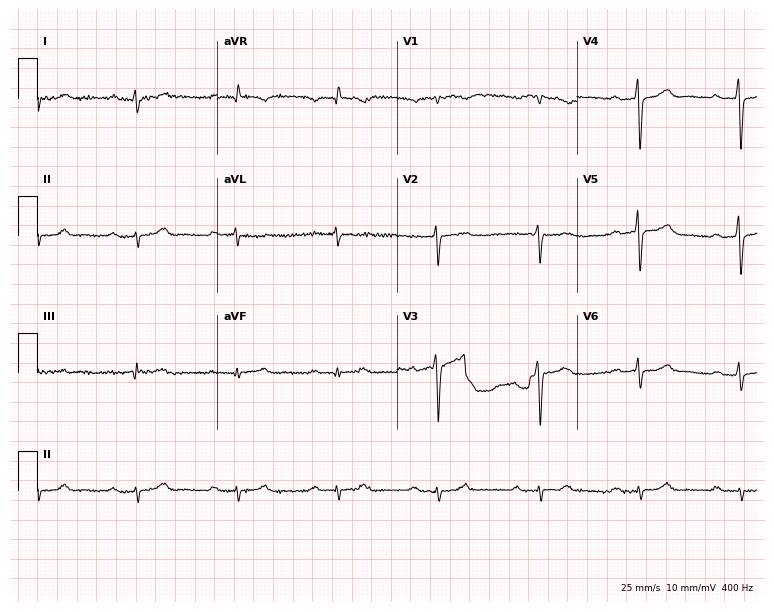
Electrocardiogram, a man, 66 years old. Of the six screened findings (first-degree AV block, right bundle branch block (RBBB), left bundle branch block (LBBB), sinus bradycardia, atrial fibrillation (AF), sinus tachycardia), none is recorded. Only these six findings were labelled.